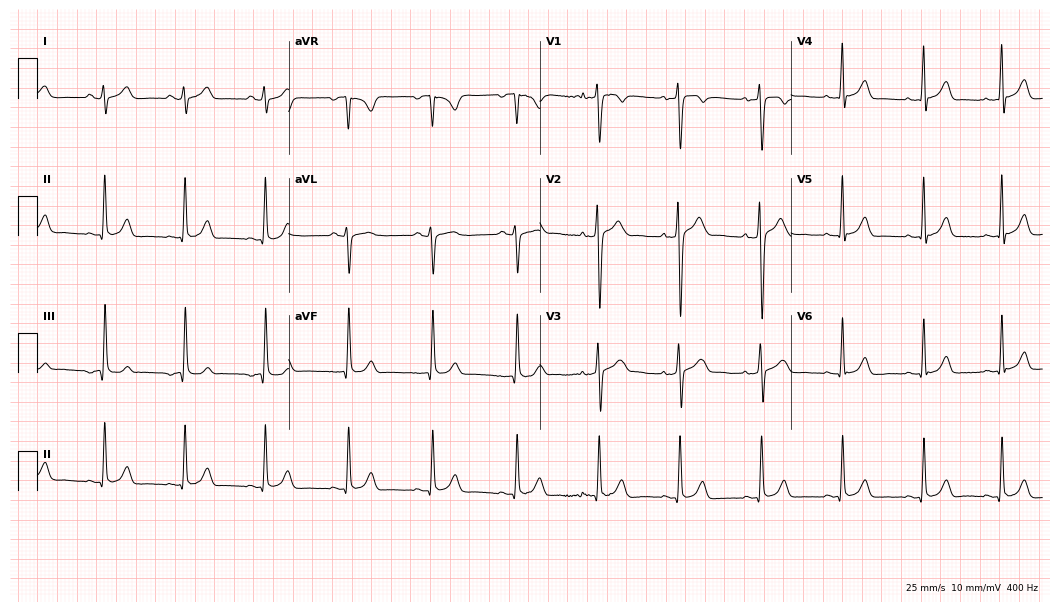
ECG (10.2-second recording at 400 Hz) — a 33-year-old male. Labelled as a normal ECG.